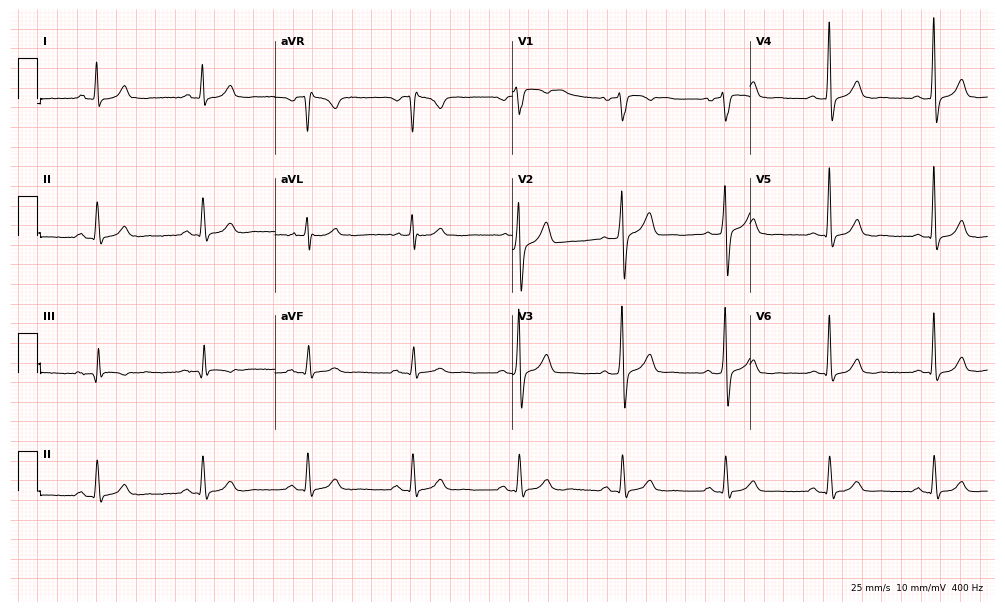
Electrocardiogram (9.7-second recording at 400 Hz), a 56-year-old male patient. Of the six screened findings (first-degree AV block, right bundle branch block (RBBB), left bundle branch block (LBBB), sinus bradycardia, atrial fibrillation (AF), sinus tachycardia), none is recorded. Findings outside these six are not listed.